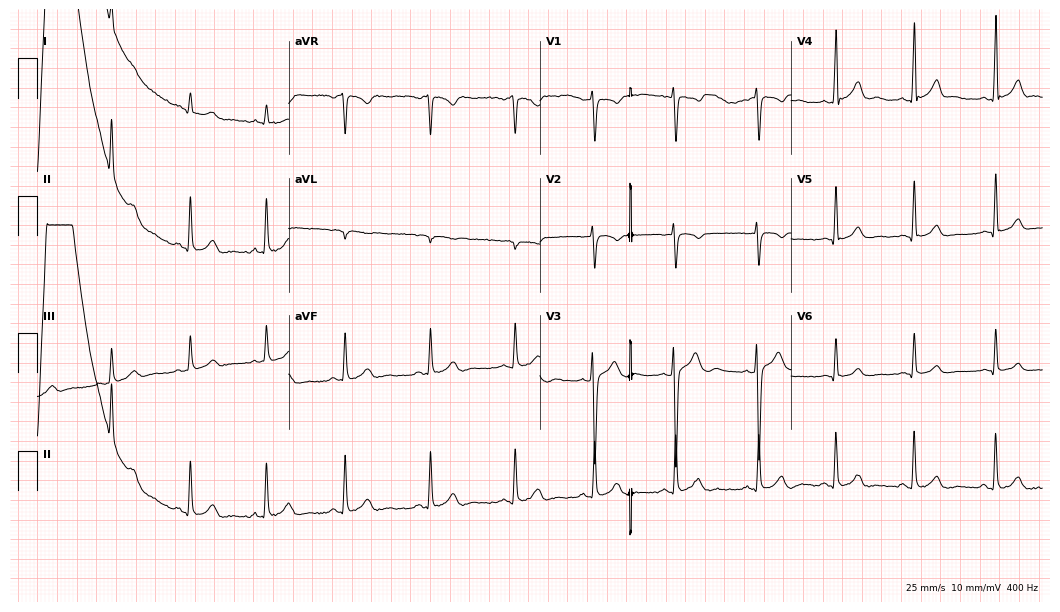
ECG — a male, 26 years old. Labelled as a normal ECG.